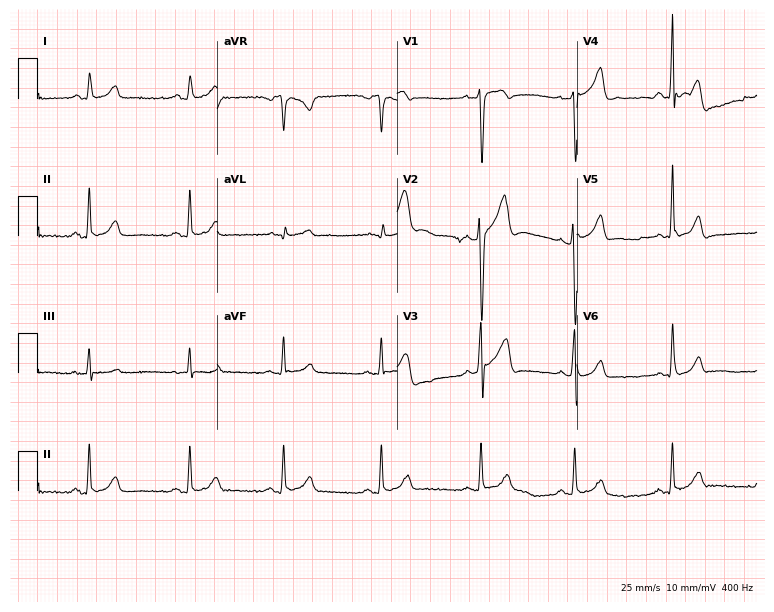
12-lead ECG from a man, 28 years old. Screened for six findings — first-degree AV block, right bundle branch block (RBBB), left bundle branch block (LBBB), sinus bradycardia, atrial fibrillation (AF), sinus tachycardia — none is recorded.